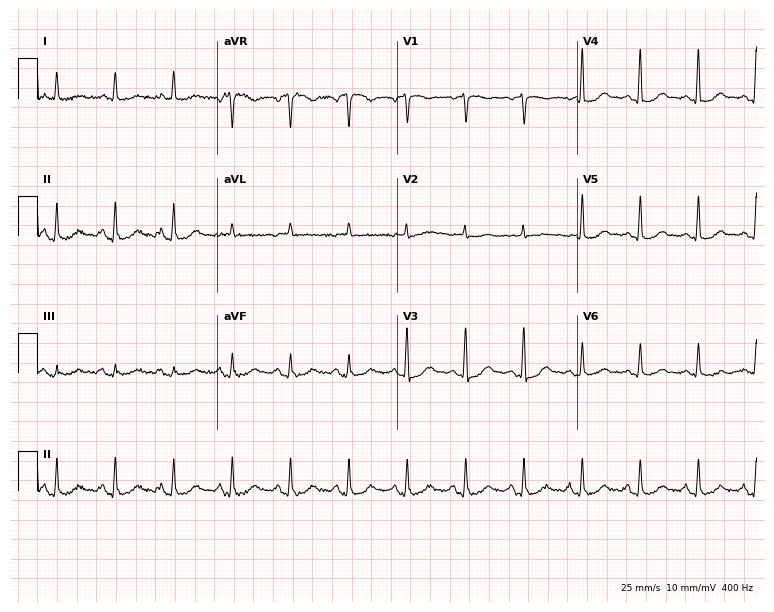
12-lead ECG from a woman, 69 years old (7.3-second recording at 400 Hz). No first-degree AV block, right bundle branch block (RBBB), left bundle branch block (LBBB), sinus bradycardia, atrial fibrillation (AF) or sinus tachycardia recorded for this tracing.